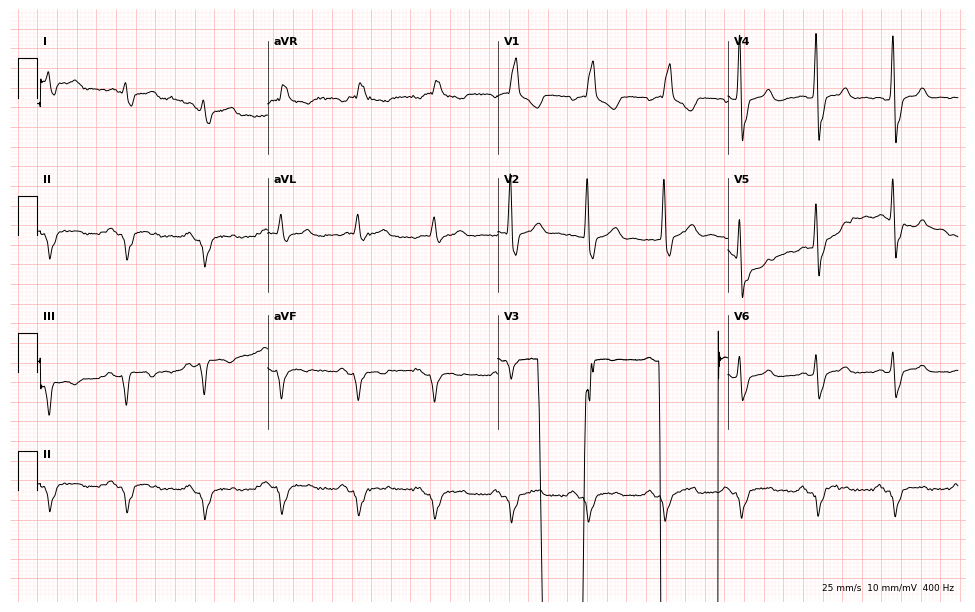
Standard 12-lead ECG recorded from a 68-year-old male (9.4-second recording at 400 Hz). None of these six findings is recorded: first-degree AV block, right bundle branch block, left bundle branch block, sinus bradycardia, atrial fibrillation, sinus tachycardia. Only these six findings were labelled.